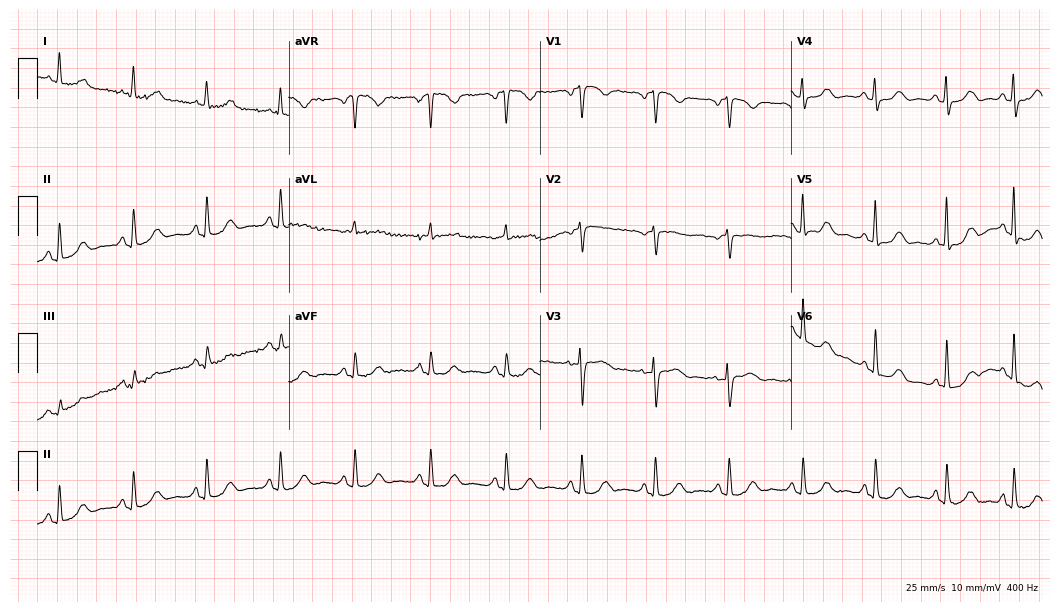
Resting 12-lead electrocardiogram (10.2-second recording at 400 Hz). Patient: a female, 71 years old. Read as a normal ECG.